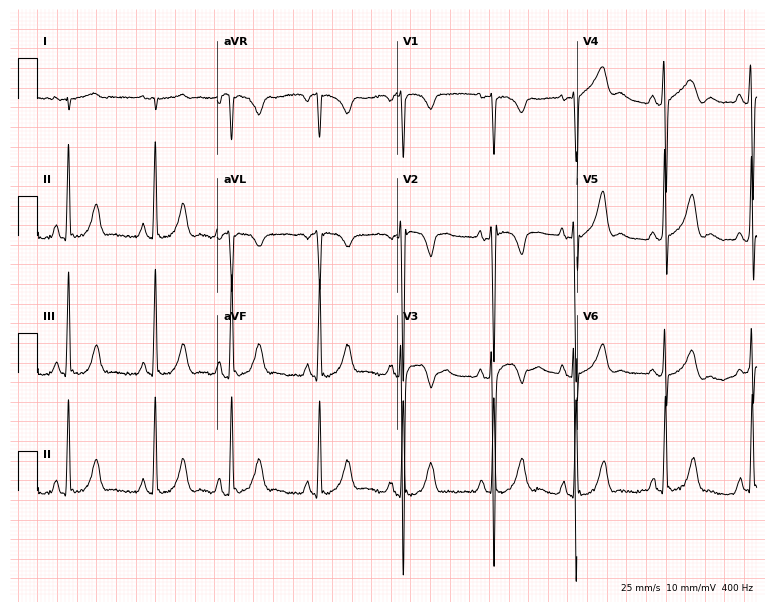
Electrocardiogram (7.3-second recording at 400 Hz), a male patient, 57 years old. Of the six screened findings (first-degree AV block, right bundle branch block, left bundle branch block, sinus bradycardia, atrial fibrillation, sinus tachycardia), none is recorded.